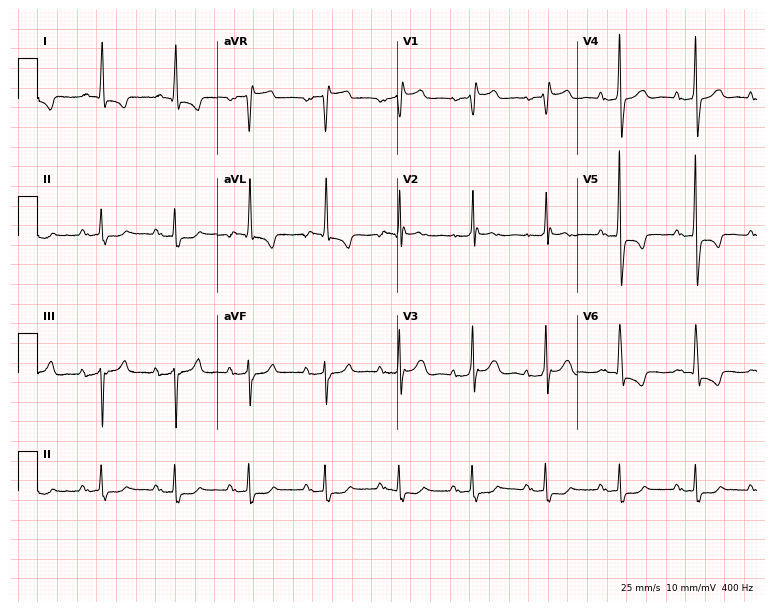
12-lead ECG from an 83-year-old male. No first-degree AV block, right bundle branch block, left bundle branch block, sinus bradycardia, atrial fibrillation or sinus tachycardia recorded for this tracing.